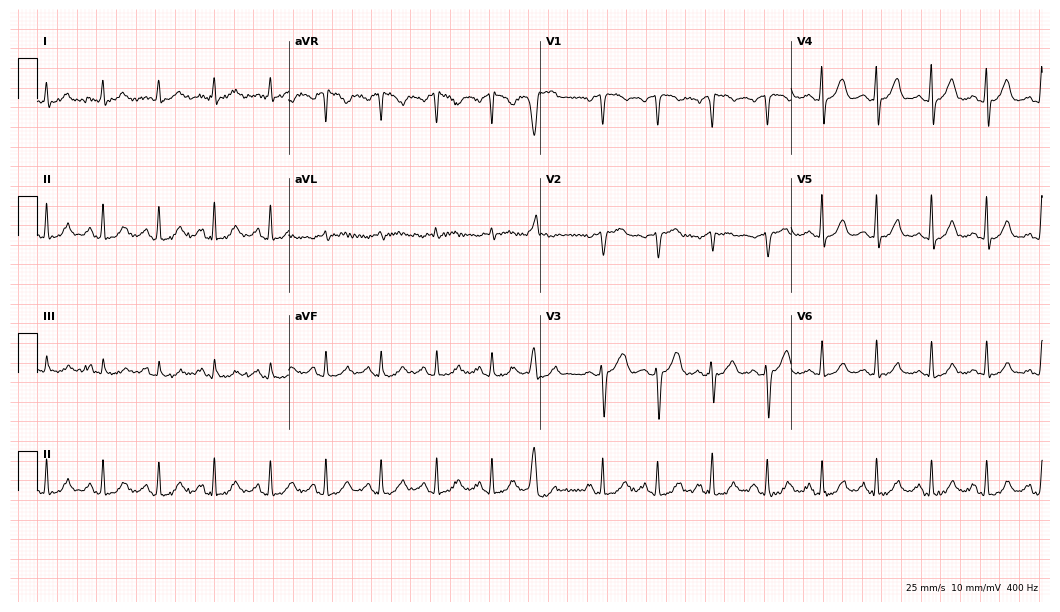
12-lead ECG (10.2-second recording at 400 Hz) from a 66-year-old man. Screened for six findings — first-degree AV block, right bundle branch block, left bundle branch block, sinus bradycardia, atrial fibrillation, sinus tachycardia — none is recorded. Findings outside these six are not listed.